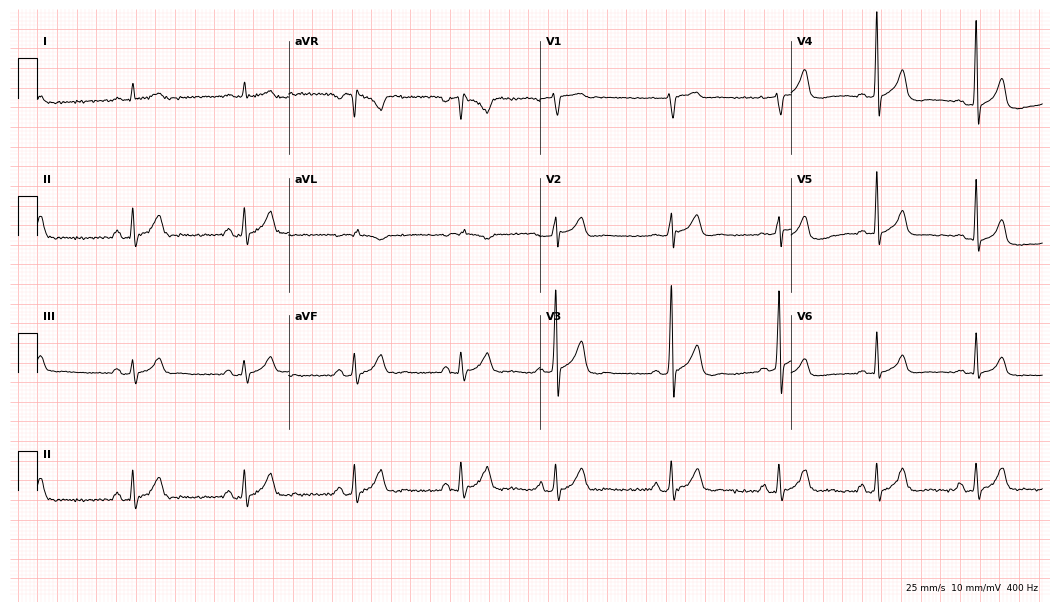
12-lead ECG from a 47-year-old male patient. No first-degree AV block, right bundle branch block, left bundle branch block, sinus bradycardia, atrial fibrillation or sinus tachycardia recorded for this tracing.